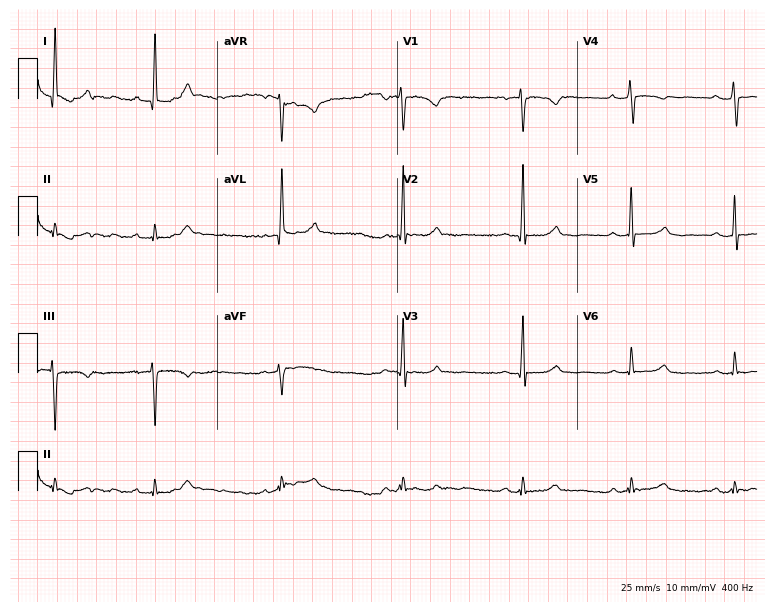
ECG — a 74-year-old female. Labelled as a normal ECG.